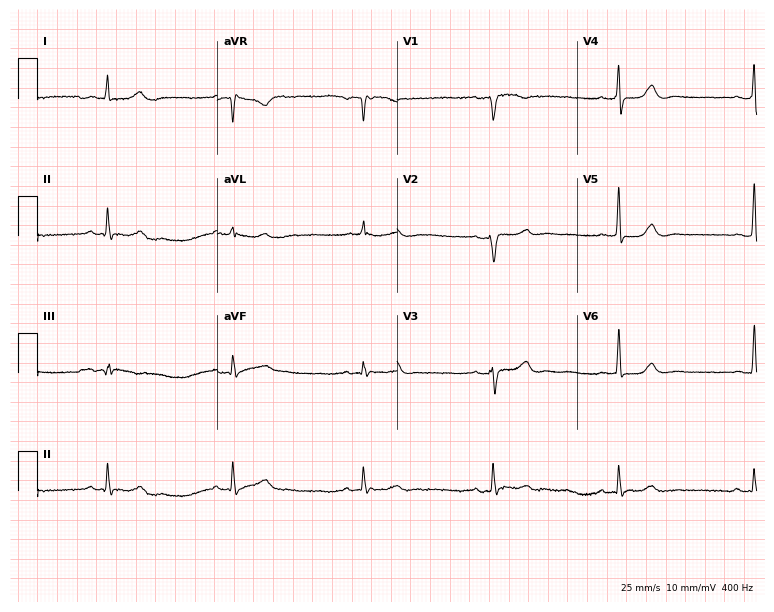
Standard 12-lead ECG recorded from a 69-year-old female patient (7.3-second recording at 400 Hz). The tracing shows sinus bradycardia (a sinus rate of 50 beats per minute or less).